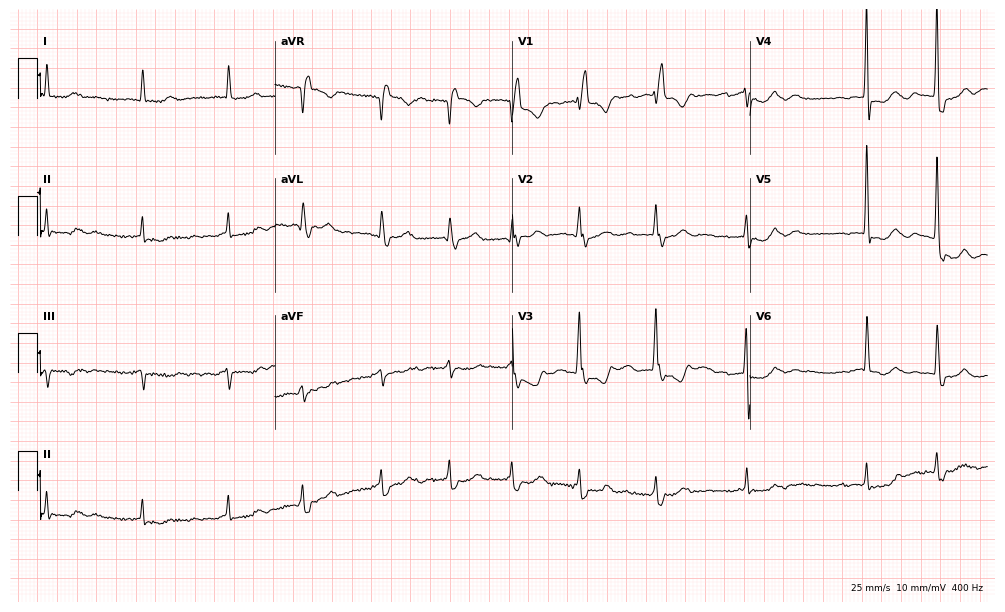
Resting 12-lead electrocardiogram (9.7-second recording at 400 Hz). Patient: a 63-year-old male. None of these six findings is recorded: first-degree AV block, right bundle branch block, left bundle branch block, sinus bradycardia, atrial fibrillation, sinus tachycardia. Other findings, if any, are not listed.